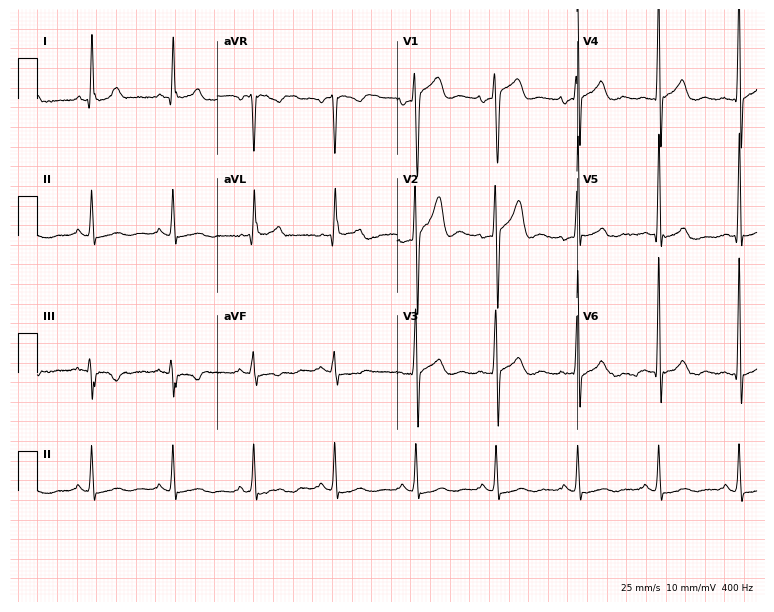
Electrocardiogram (7.3-second recording at 400 Hz), a male patient, 44 years old. Of the six screened findings (first-degree AV block, right bundle branch block (RBBB), left bundle branch block (LBBB), sinus bradycardia, atrial fibrillation (AF), sinus tachycardia), none is recorded.